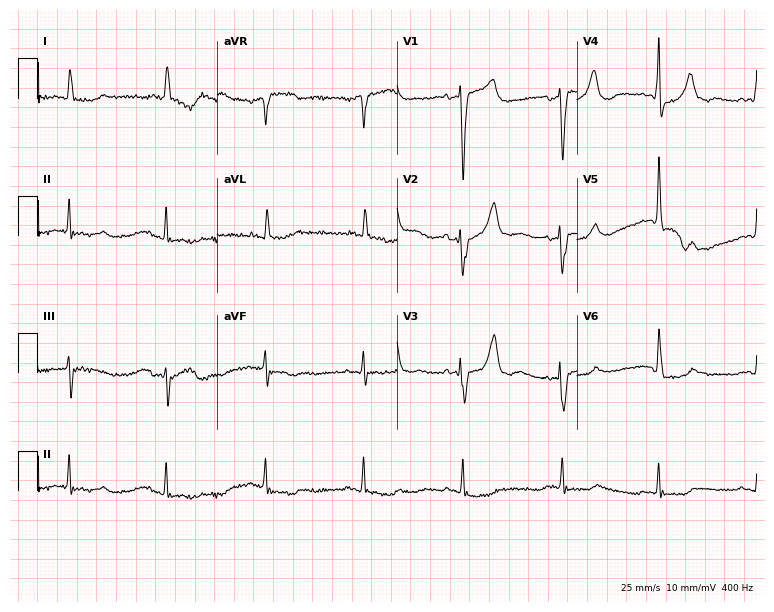
Electrocardiogram, a man, 84 years old. Of the six screened findings (first-degree AV block, right bundle branch block, left bundle branch block, sinus bradycardia, atrial fibrillation, sinus tachycardia), none is recorded. Only these six findings were labelled.